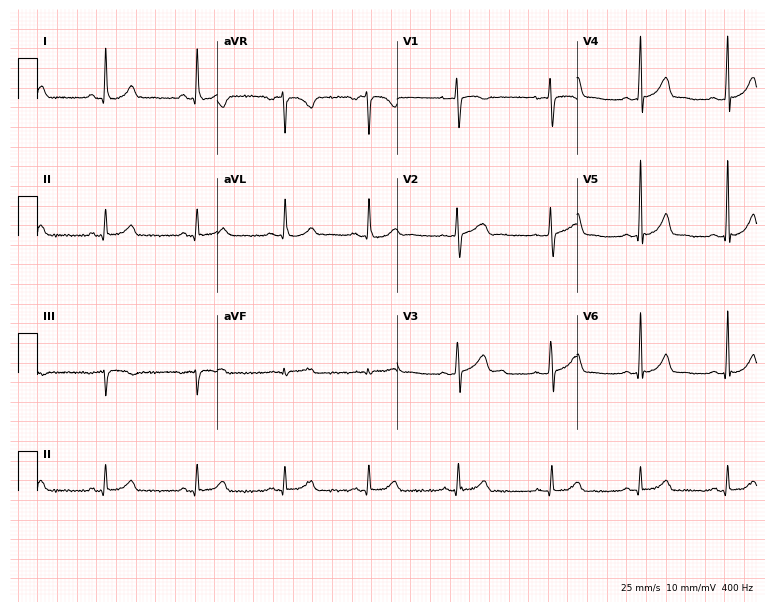
12-lead ECG from a female, 31 years old. Labelled as a normal ECG.